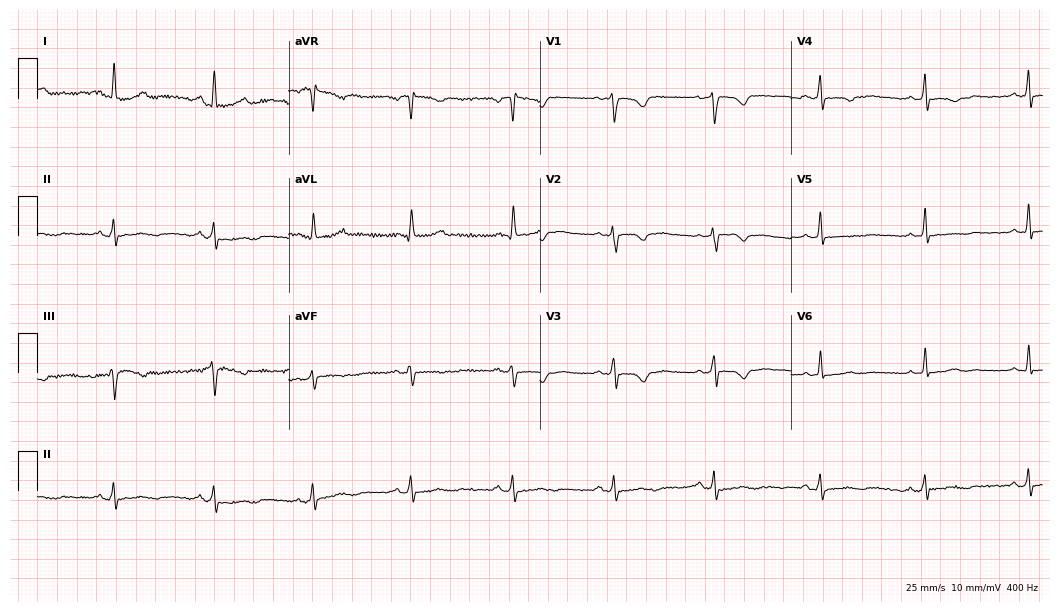
12-lead ECG from a female patient, 35 years old (10.2-second recording at 400 Hz). No first-degree AV block, right bundle branch block, left bundle branch block, sinus bradycardia, atrial fibrillation or sinus tachycardia recorded for this tracing. Other findings, if any, are not listed.